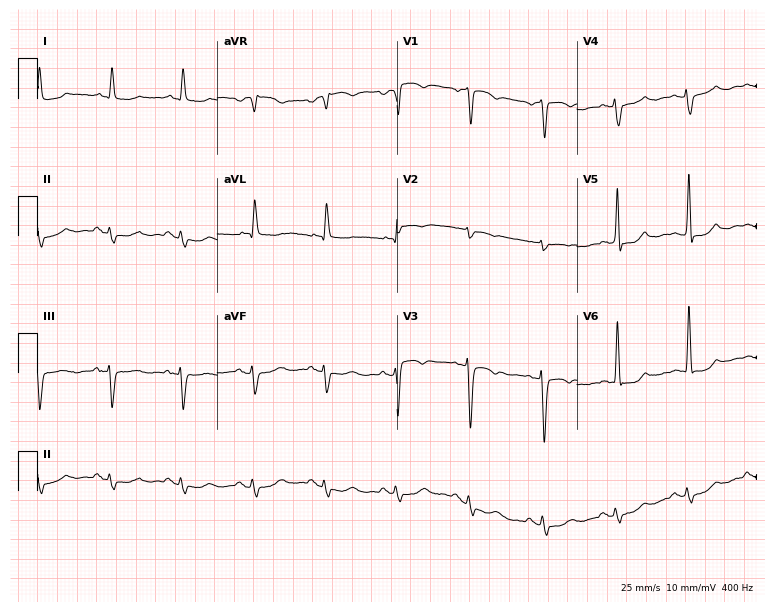
Resting 12-lead electrocardiogram. Patient: a 75-year-old female. None of these six findings is recorded: first-degree AV block, right bundle branch block, left bundle branch block, sinus bradycardia, atrial fibrillation, sinus tachycardia. Only these six findings were labelled.